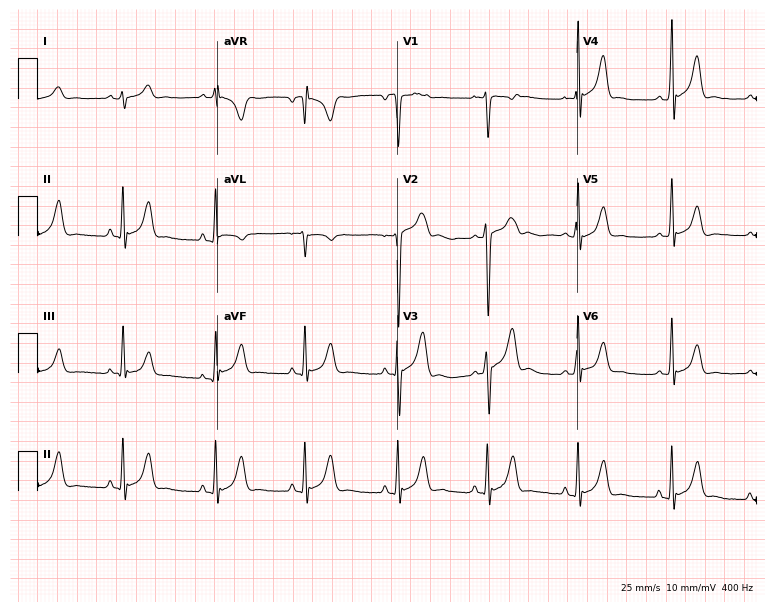
12-lead ECG (7.3-second recording at 400 Hz) from a male, 21 years old. Screened for six findings — first-degree AV block, right bundle branch block, left bundle branch block, sinus bradycardia, atrial fibrillation, sinus tachycardia — none is recorded. Findings outside these six are not listed.